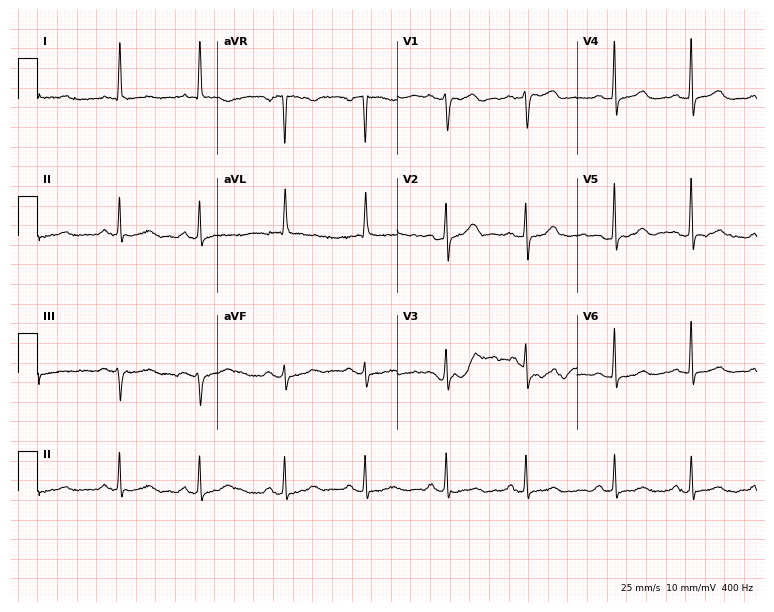
Standard 12-lead ECG recorded from a 67-year-old female. Read as a normal ECG.